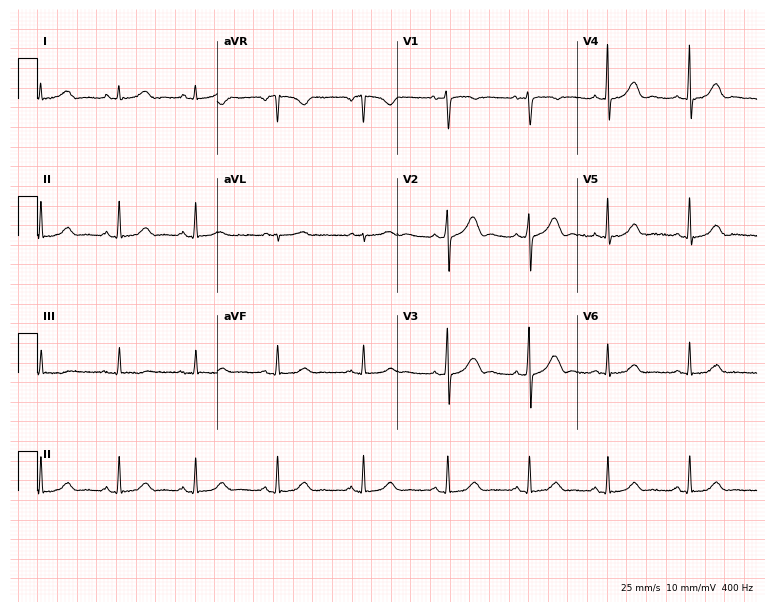
12-lead ECG from a female, 36 years old. Screened for six findings — first-degree AV block, right bundle branch block (RBBB), left bundle branch block (LBBB), sinus bradycardia, atrial fibrillation (AF), sinus tachycardia — none is recorded. Other findings, if any, are not listed.